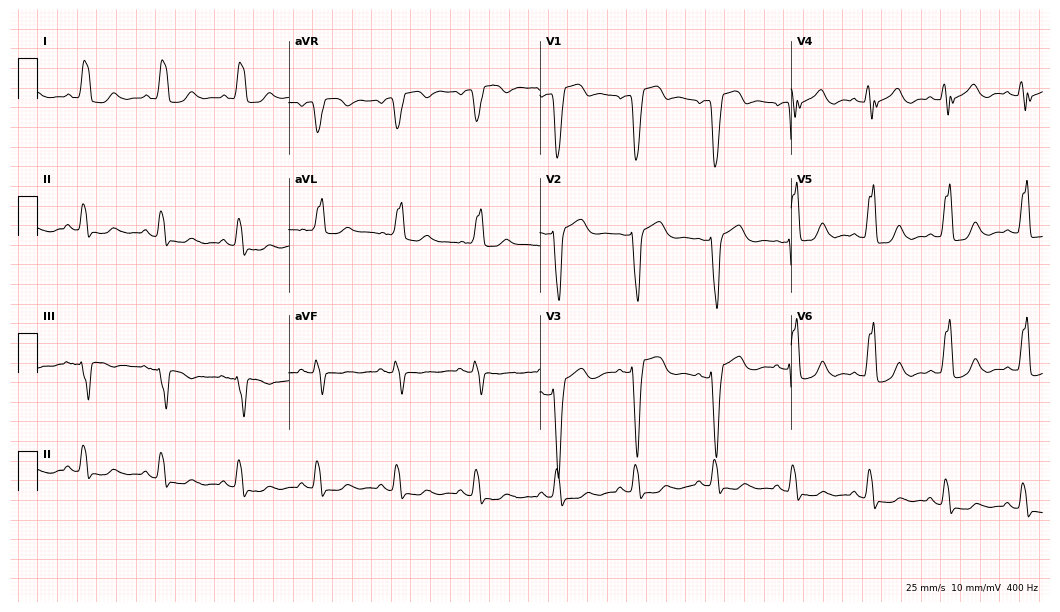
Standard 12-lead ECG recorded from a 65-year-old male. The tracing shows left bundle branch block (LBBB).